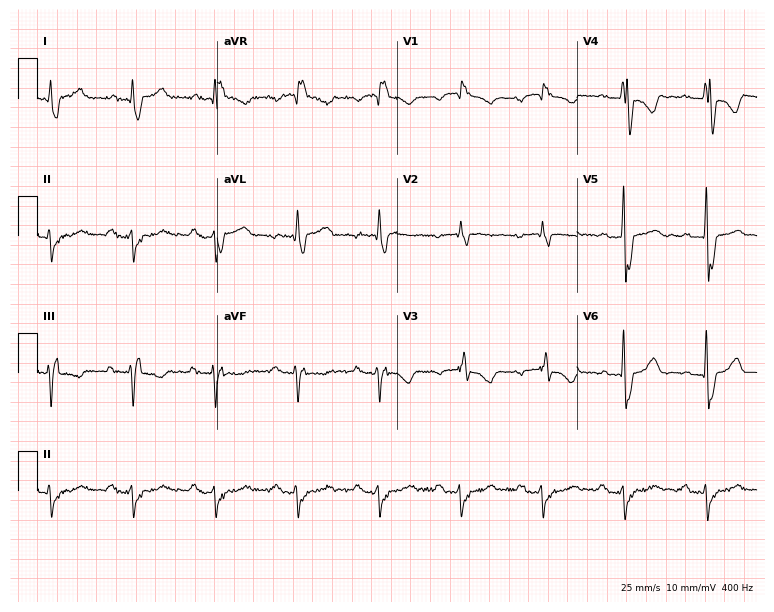
12-lead ECG from a male, 83 years old. Shows first-degree AV block, right bundle branch block.